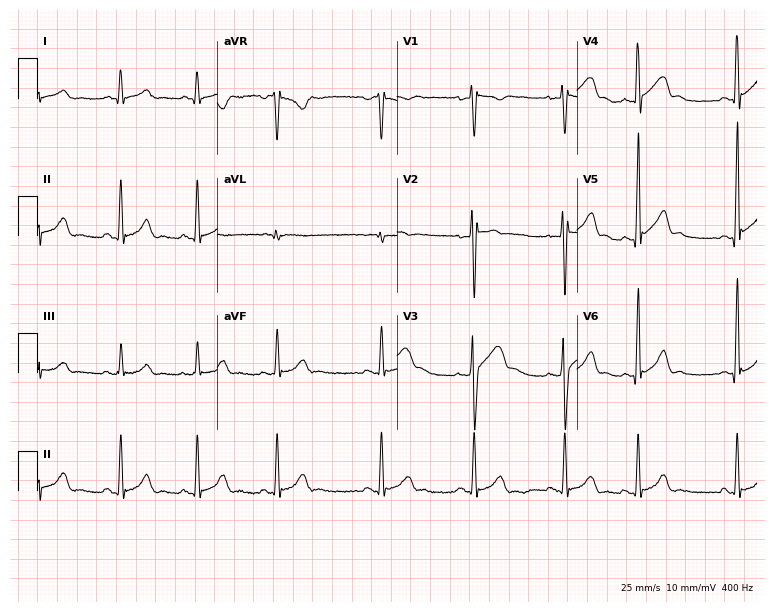
Resting 12-lead electrocardiogram. Patient: a male, 32 years old. Read as a normal ECG.